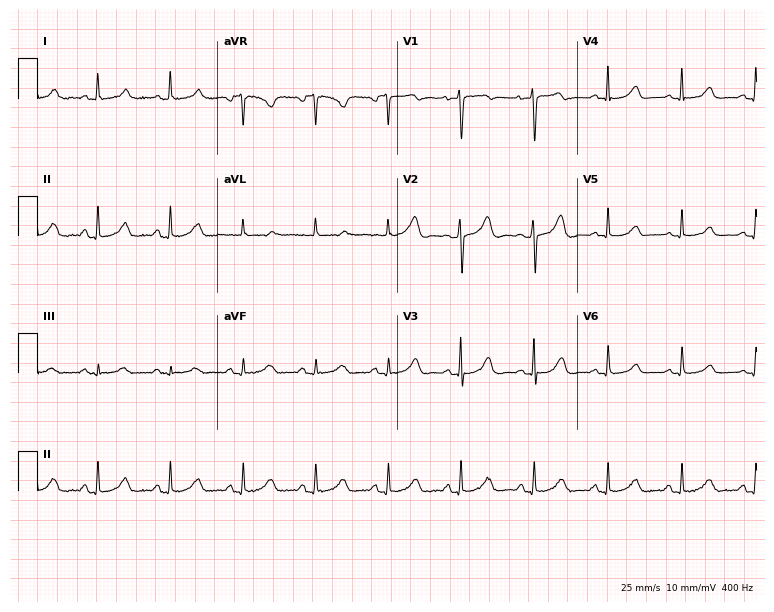
Resting 12-lead electrocardiogram. Patient: a woman, 55 years old. Read as a normal ECG.